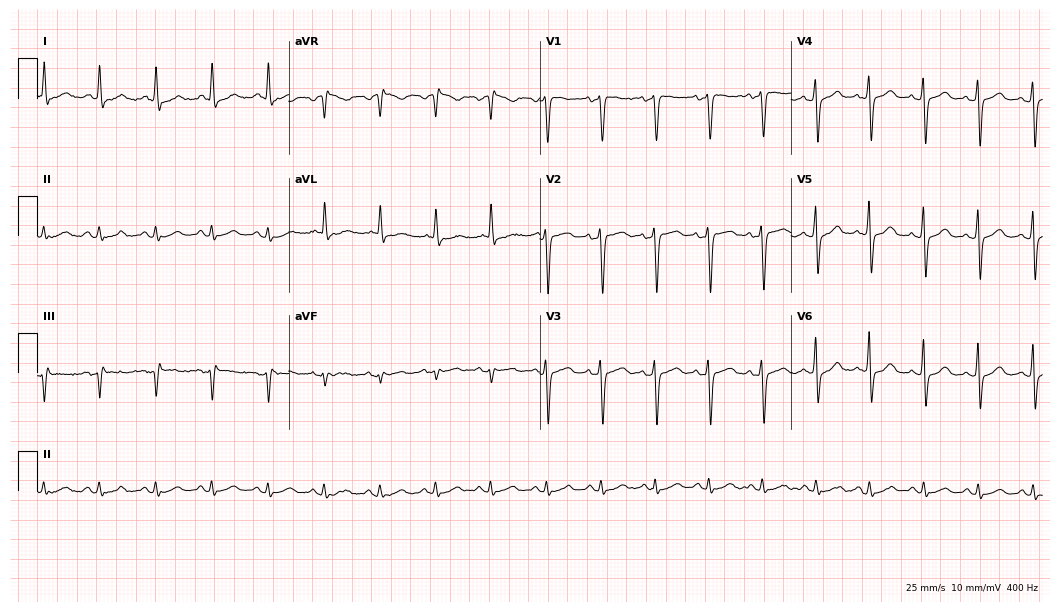
Electrocardiogram, a female, 63 years old. Of the six screened findings (first-degree AV block, right bundle branch block (RBBB), left bundle branch block (LBBB), sinus bradycardia, atrial fibrillation (AF), sinus tachycardia), none is recorded. Other findings, if any, are not listed.